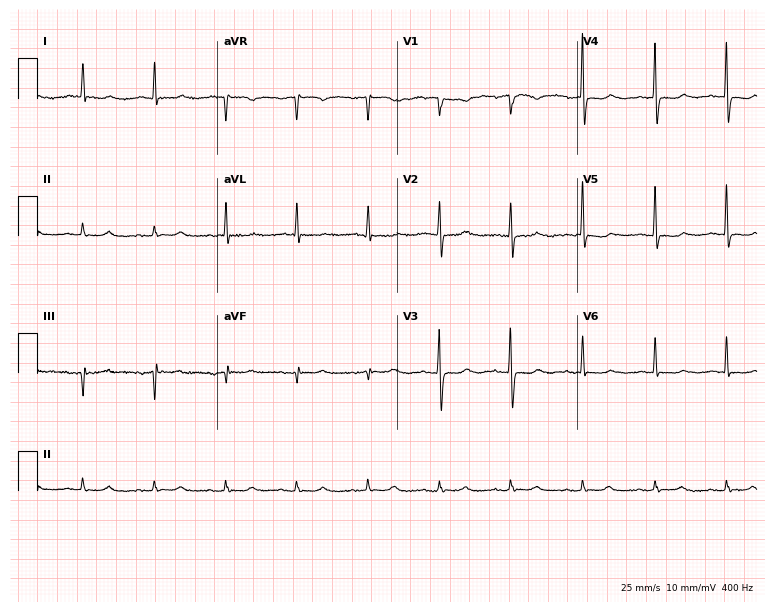
Electrocardiogram, an 84-year-old woman. Of the six screened findings (first-degree AV block, right bundle branch block (RBBB), left bundle branch block (LBBB), sinus bradycardia, atrial fibrillation (AF), sinus tachycardia), none is recorded.